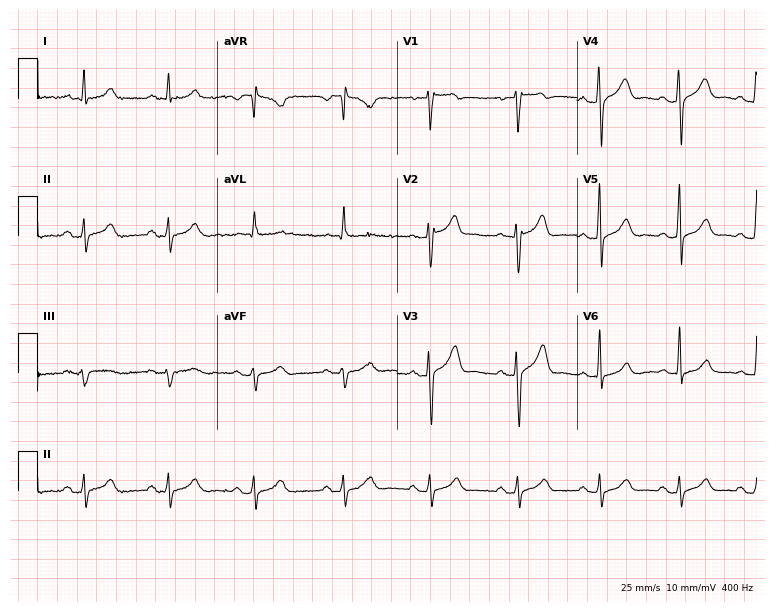
Standard 12-lead ECG recorded from a male, 44 years old (7.3-second recording at 400 Hz). Read as a normal ECG.